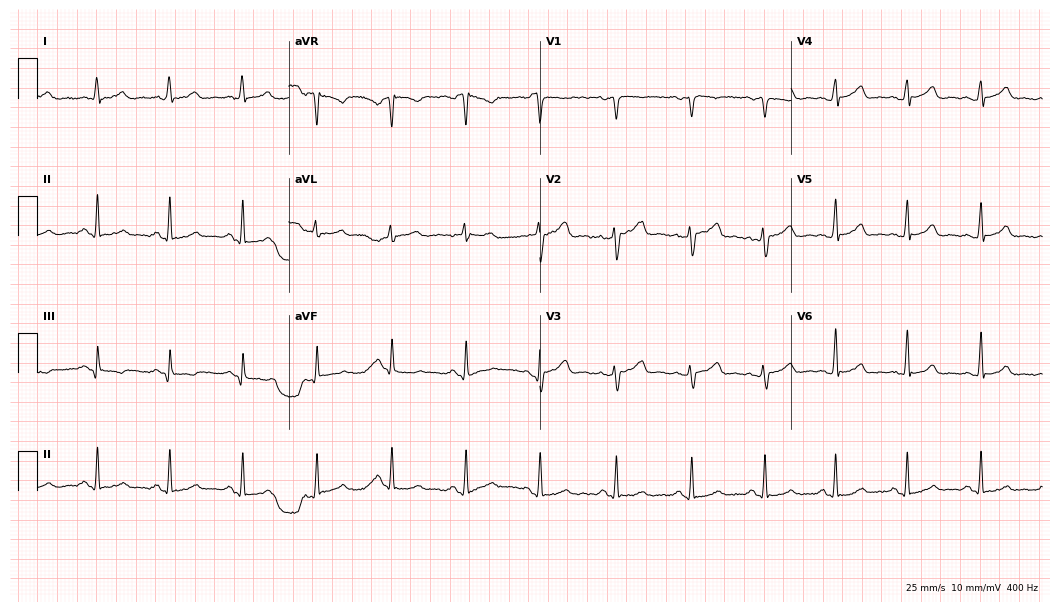
12-lead ECG (10.2-second recording at 400 Hz) from a 39-year-old female. Labelled as a normal ECG.